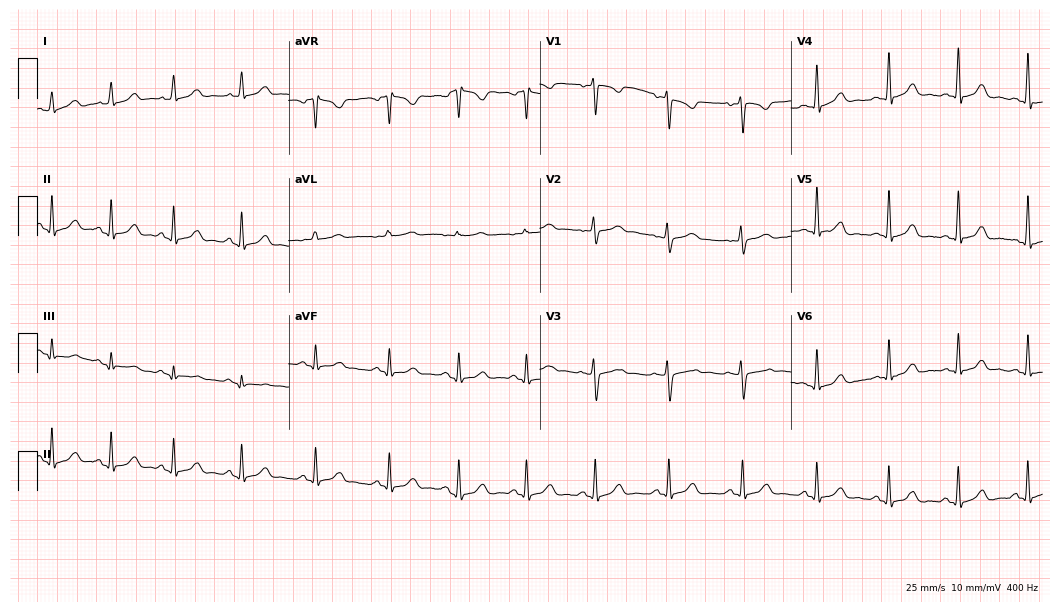
12-lead ECG from a woman, 33 years old (10.2-second recording at 400 Hz). Recorded interpretation: within normal limits.